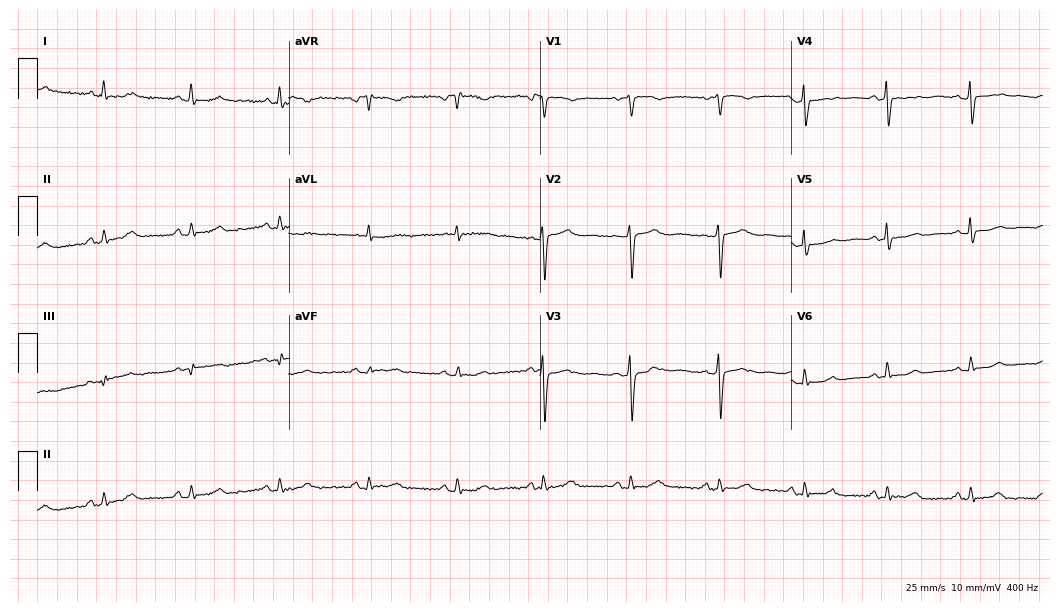
Resting 12-lead electrocardiogram. Patient: a 45-year-old female. Read as a normal ECG.